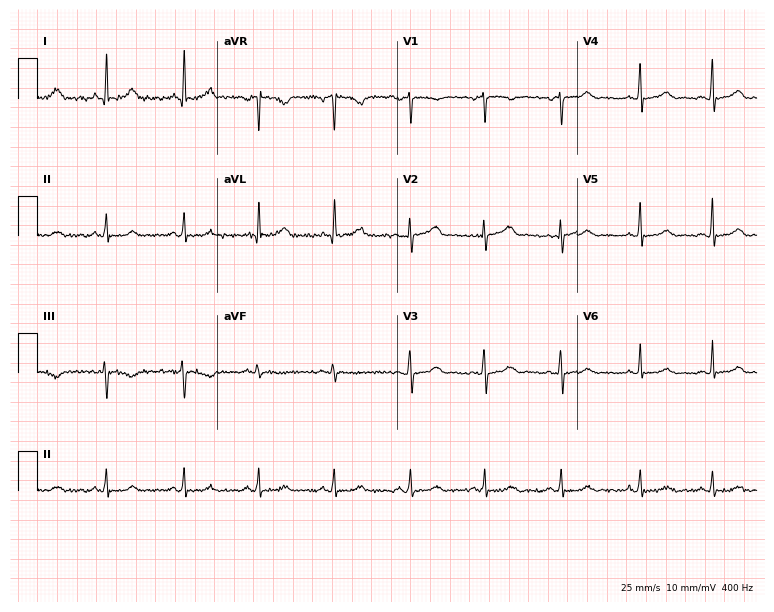
12-lead ECG from a 42-year-old female (7.3-second recording at 400 Hz). No first-degree AV block, right bundle branch block, left bundle branch block, sinus bradycardia, atrial fibrillation or sinus tachycardia recorded for this tracing. Findings outside these six are not listed.